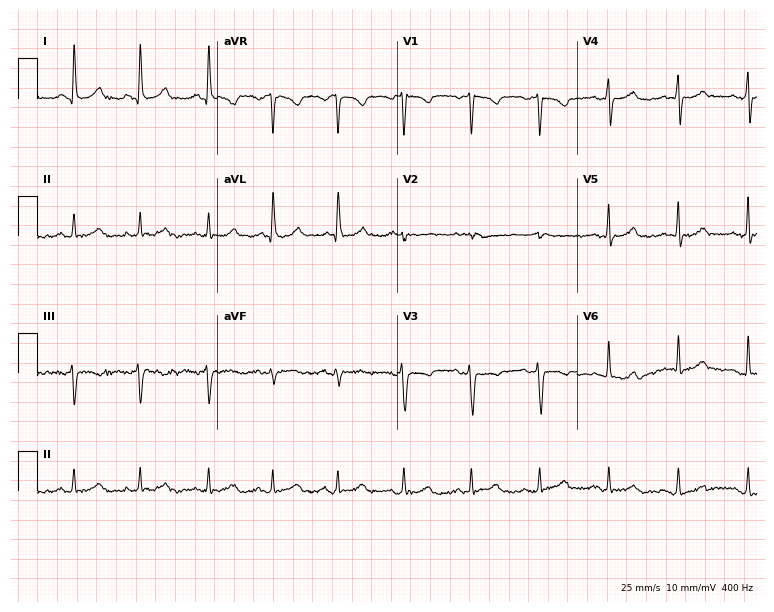
12-lead ECG from a 53-year-old female. Labelled as a normal ECG.